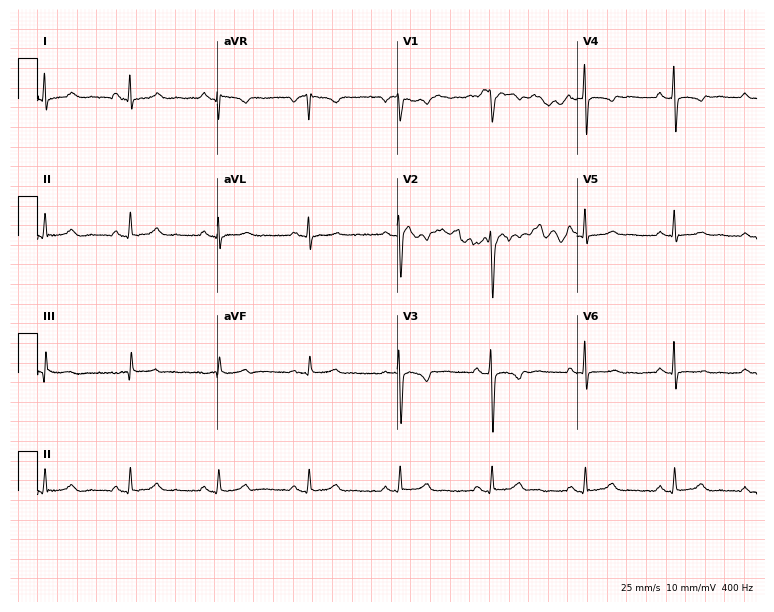
12-lead ECG from a 34-year-old woman (7.3-second recording at 400 Hz). No first-degree AV block, right bundle branch block, left bundle branch block, sinus bradycardia, atrial fibrillation or sinus tachycardia recorded for this tracing.